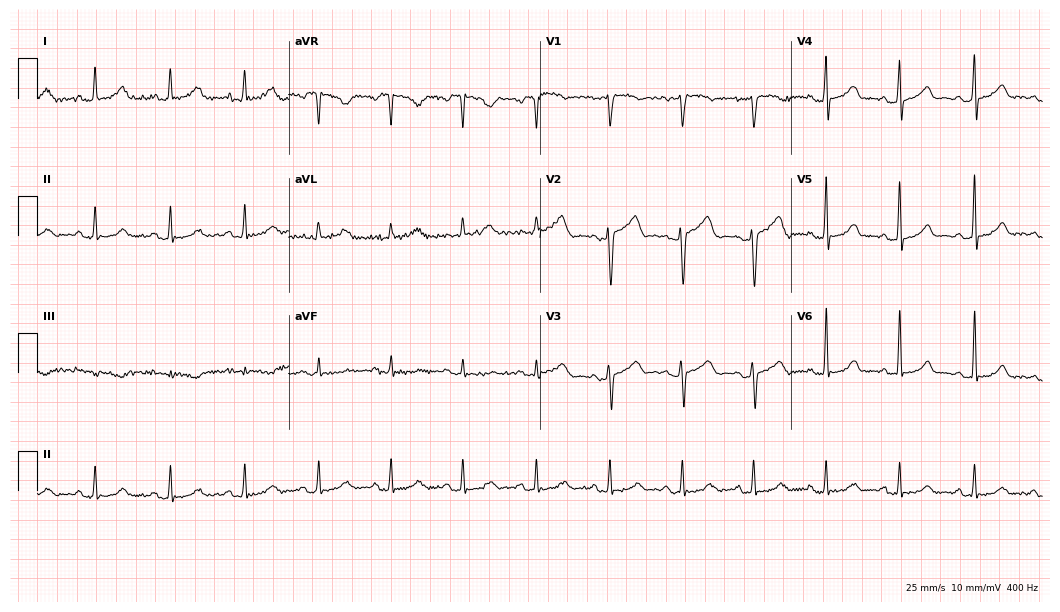
12-lead ECG from a 56-year-old female (10.2-second recording at 400 Hz). Recorded interpretation: within normal limits.